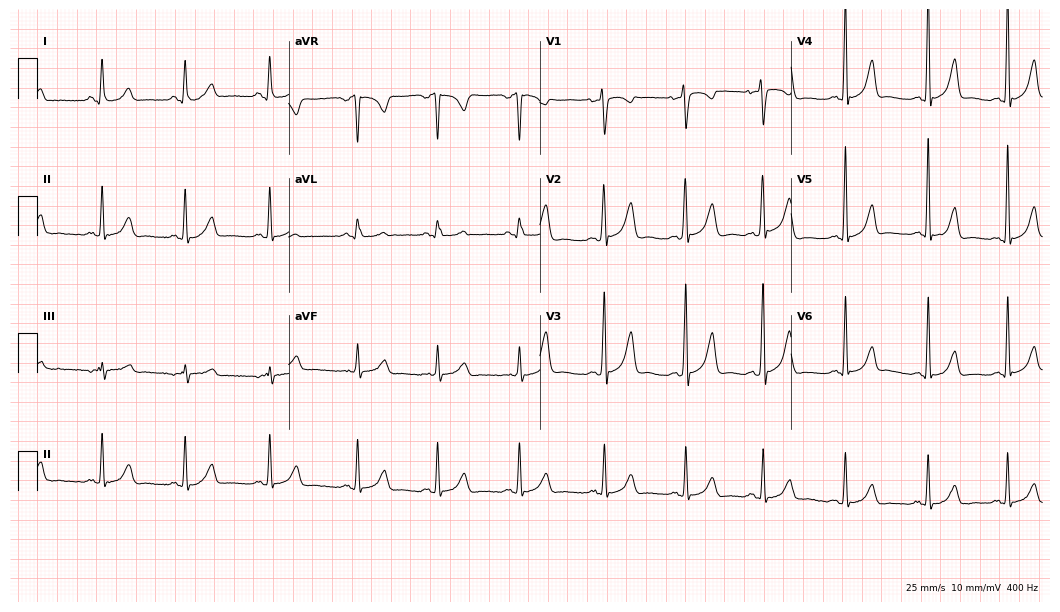
Electrocardiogram, a 17-year-old female patient. Overall reading on record: normal ECG.